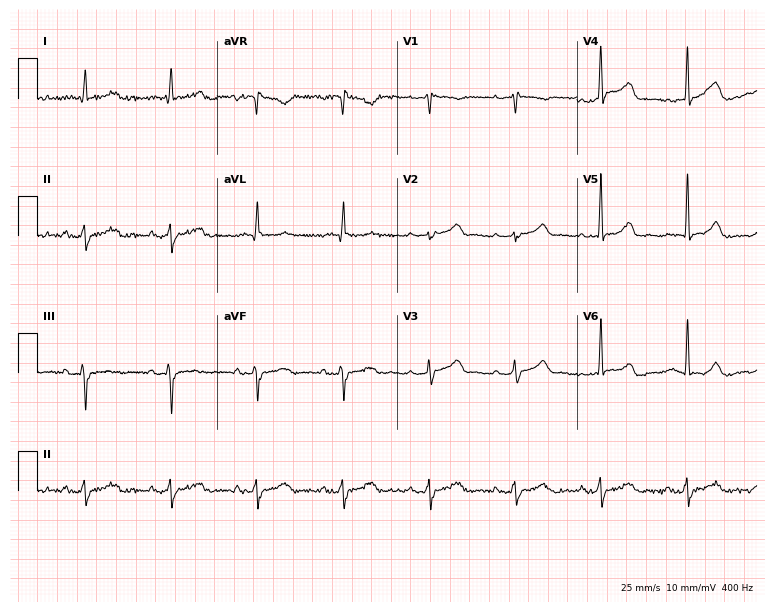
12-lead ECG (7.3-second recording at 400 Hz) from a 75-year-old man. Labelled as a normal ECG.